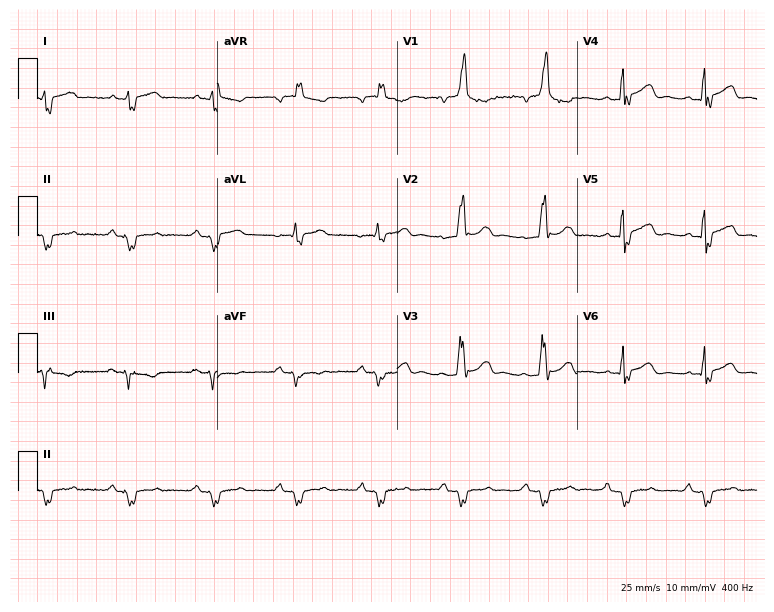
ECG — a man, 70 years old. Findings include right bundle branch block.